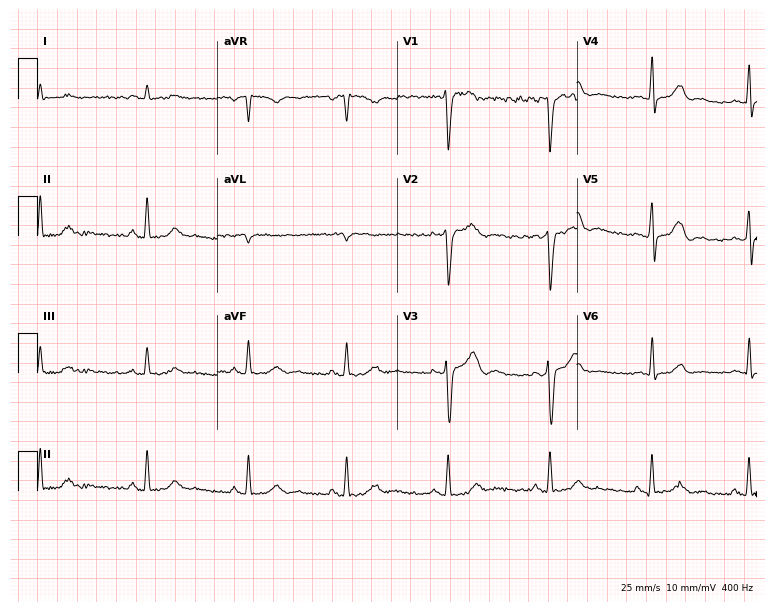
12-lead ECG from a man, 32 years old (7.3-second recording at 400 Hz). No first-degree AV block, right bundle branch block (RBBB), left bundle branch block (LBBB), sinus bradycardia, atrial fibrillation (AF) or sinus tachycardia recorded for this tracing.